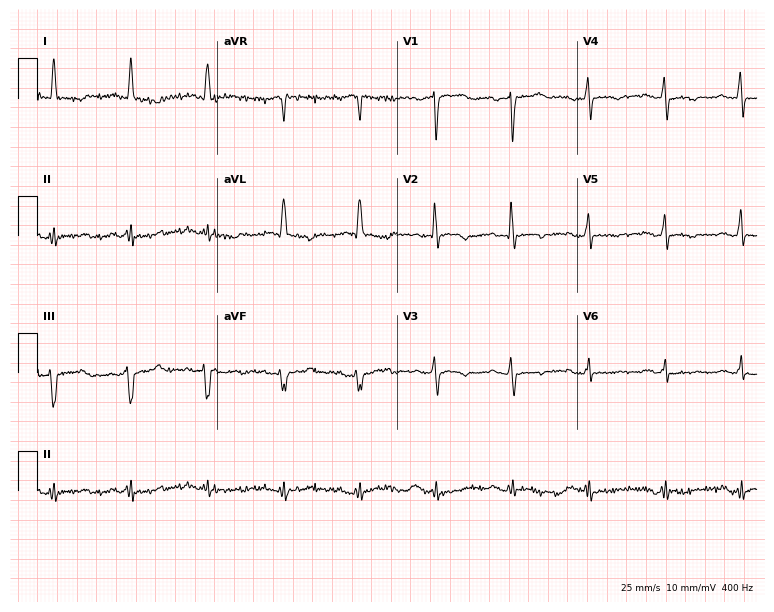
Standard 12-lead ECG recorded from a female patient, 77 years old (7.3-second recording at 400 Hz). None of these six findings is recorded: first-degree AV block, right bundle branch block, left bundle branch block, sinus bradycardia, atrial fibrillation, sinus tachycardia. Findings outside these six are not listed.